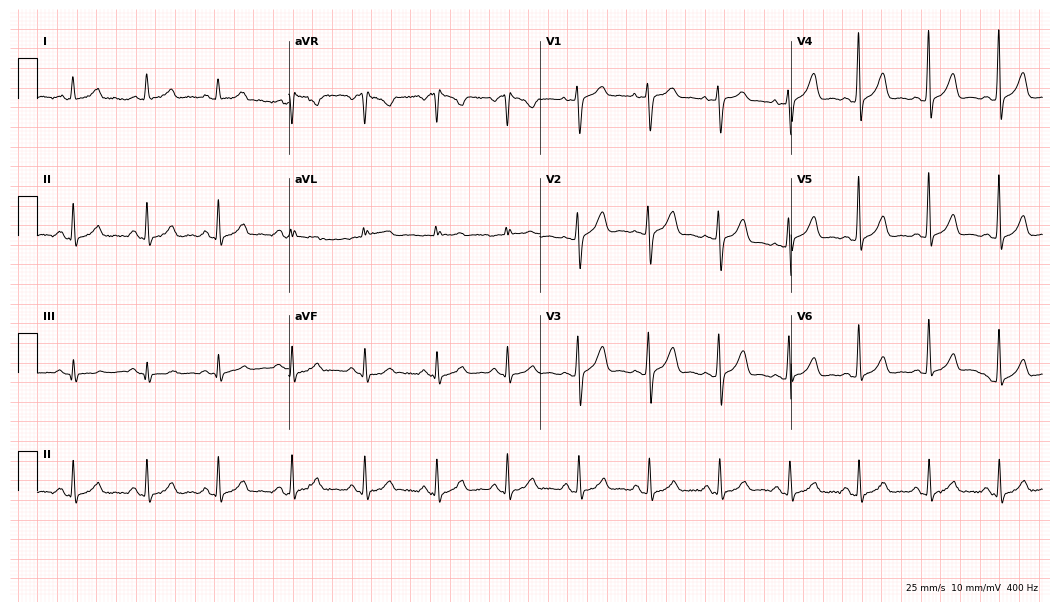
Resting 12-lead electrocardiogram (10.2-second recording at 400 Hz). Patient: a 36-year-old female. None of these six findings is recorded: first-degree AV block, right bundle branch block, left bundle branch block, sinus bradycardia, atrial fibrillation, sinus tachycardia.